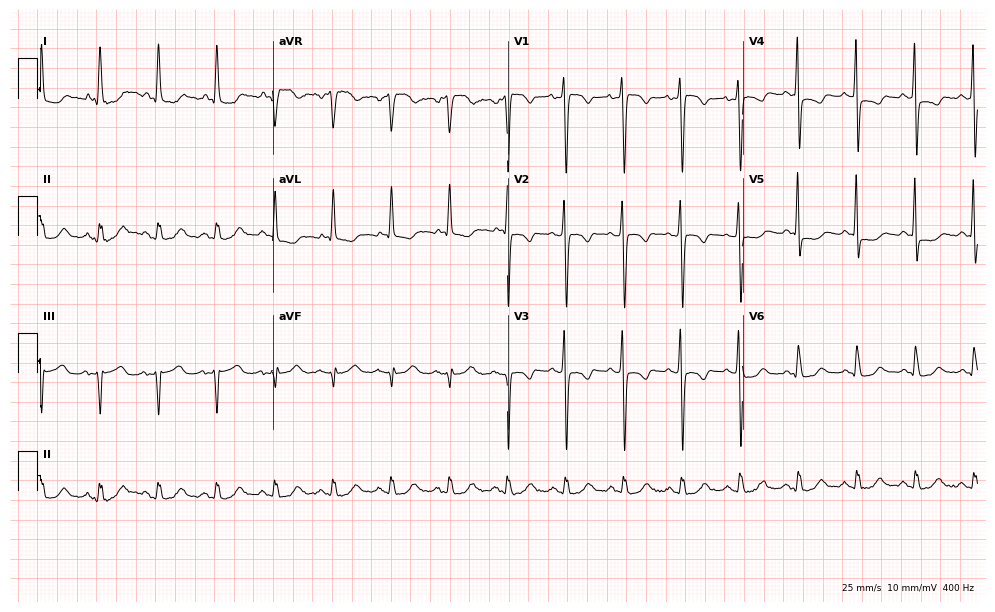
12-lead ECG from a woman, 78 years old. Shows sinus tachycardia (a sinus rate of 100 beats per minute or more).